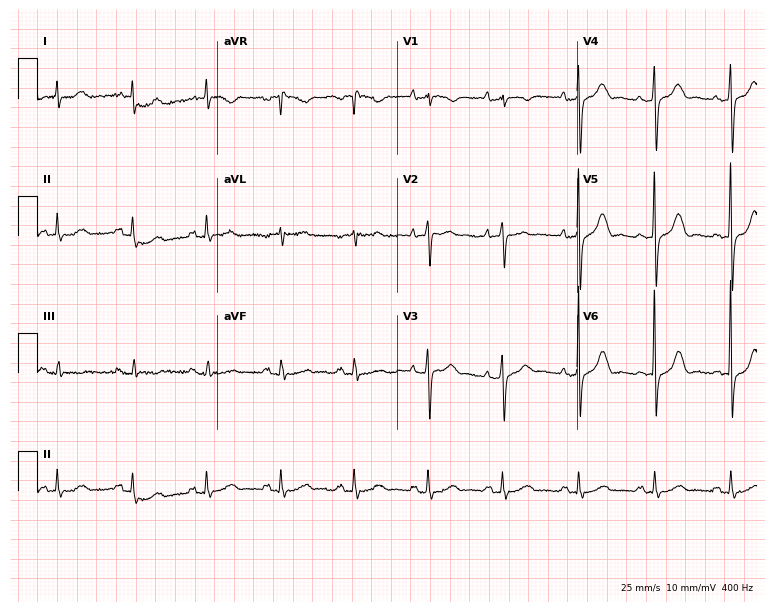
12-lead ECG from a female, 71 years old. No first-degree AV block, right bundle branch block, left bundle branch block, sinus bradycardia, atrial fibrillation or sinus tachycardia recorded for this tracing. Findings outside these six are not listed.